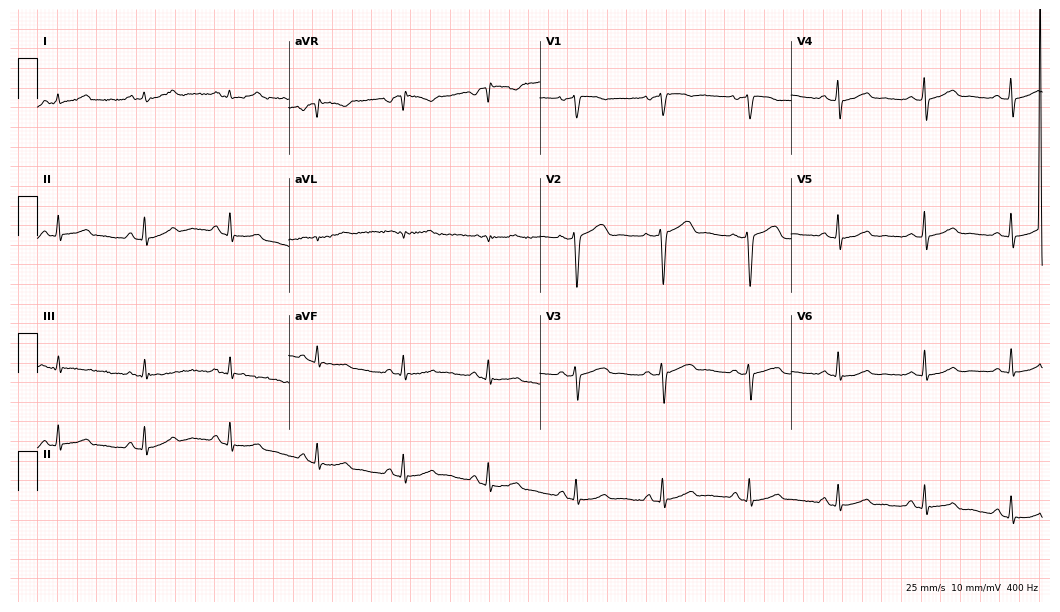
ECG — a woman, 42 years old. Labelled as a normal ECG.